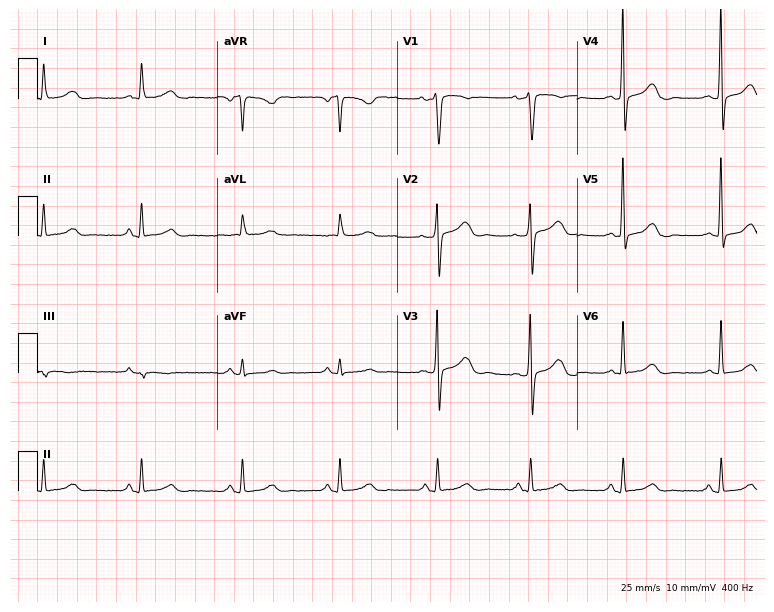
ECG — a 60-year-old female patient. Screened for six findings — first-degree AV block, right bundle branch block, left bundle branch block, sinus bradycardia, atrial fibrillation, sinus tachycardia — none is recorded. Other findings, if any, are not listed.